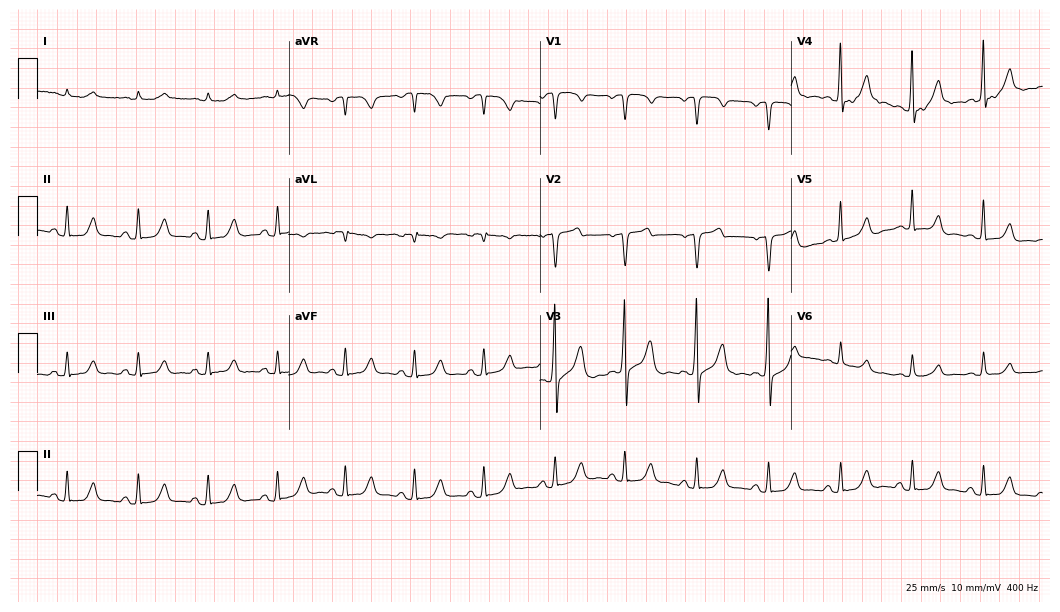
Resting 12-lead electrocardiogram. Patient: a male, 67 years old. Read as a normal ECG.